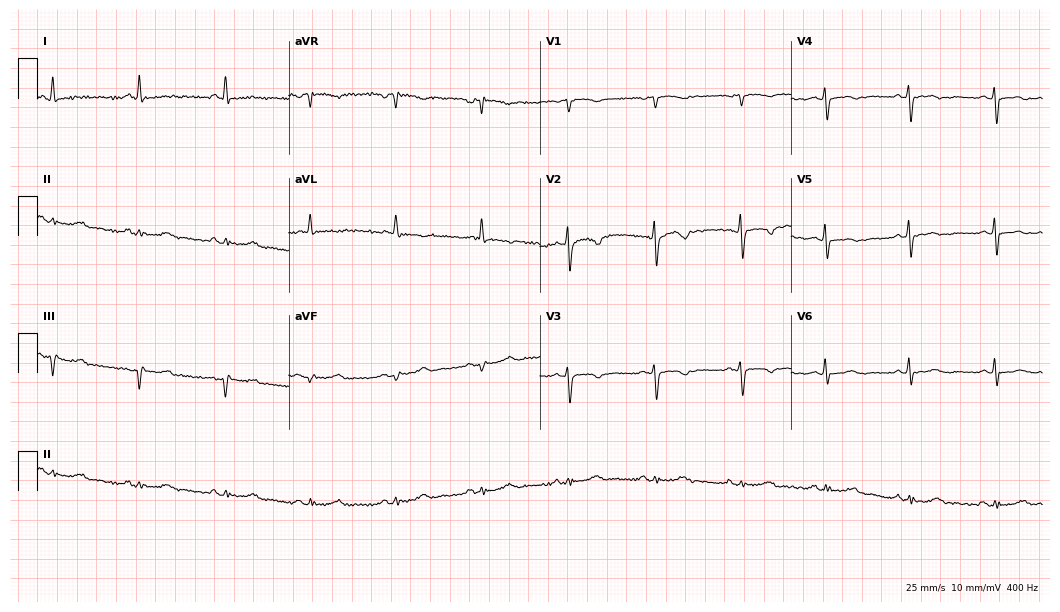
Resting 12-lead electrocardiogram. Patient: a 73-year-old woman. None of these six findings is recorded: first-degree AV block, right bundle branch block (RBBB), left bundle branch block (LBBB), sinus bradycardia, atrial fibrillation (AF), sinus tachycardia. Other findings, if any, are not listed.